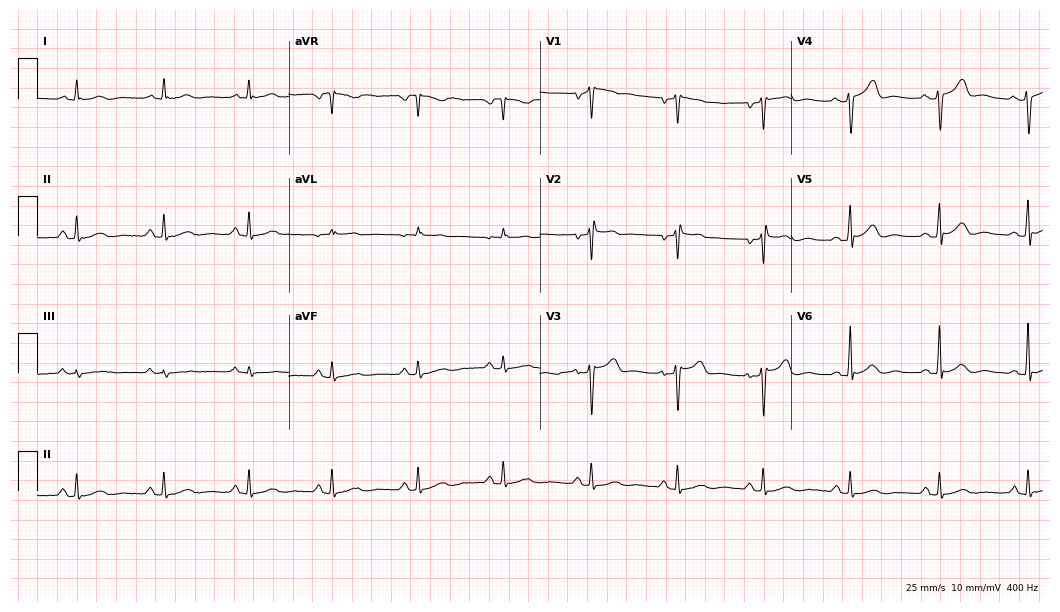
12-lead ECG from a 47-year-old male patient. Recorded interpretation: within normal limits.